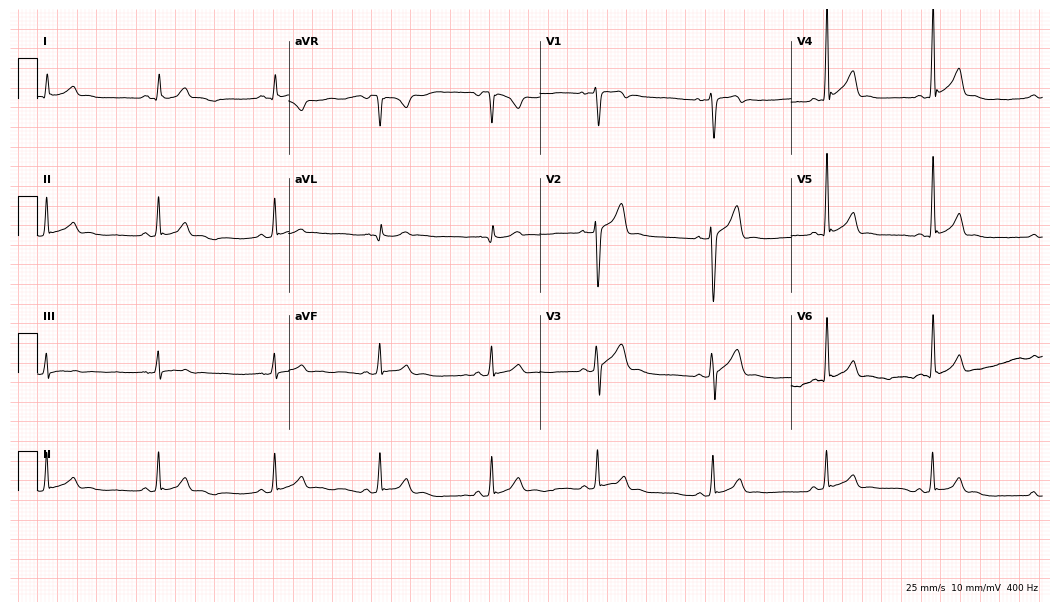
Resting 12-lead electrocardiogram. Patient: an 18-year-old man. Read as a normal ECG.